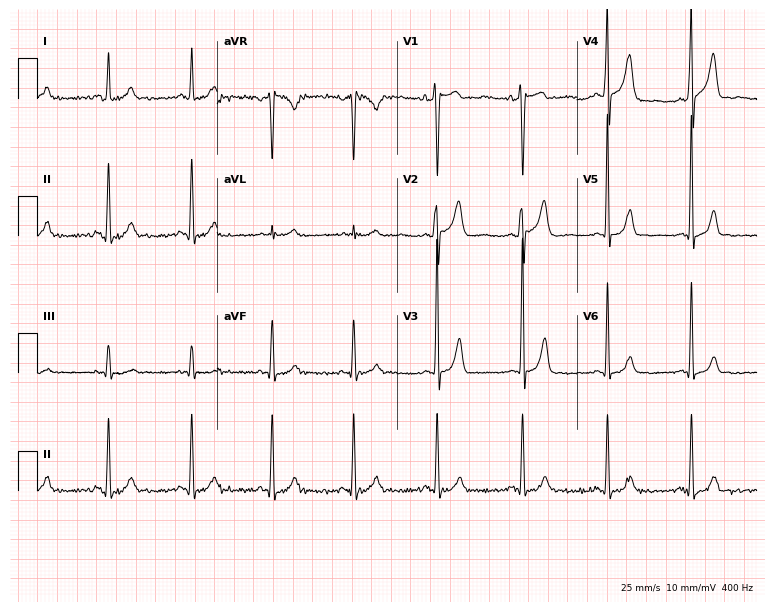
12-lead ECG from a 55-year-old male. Labelled as a normal ECG.